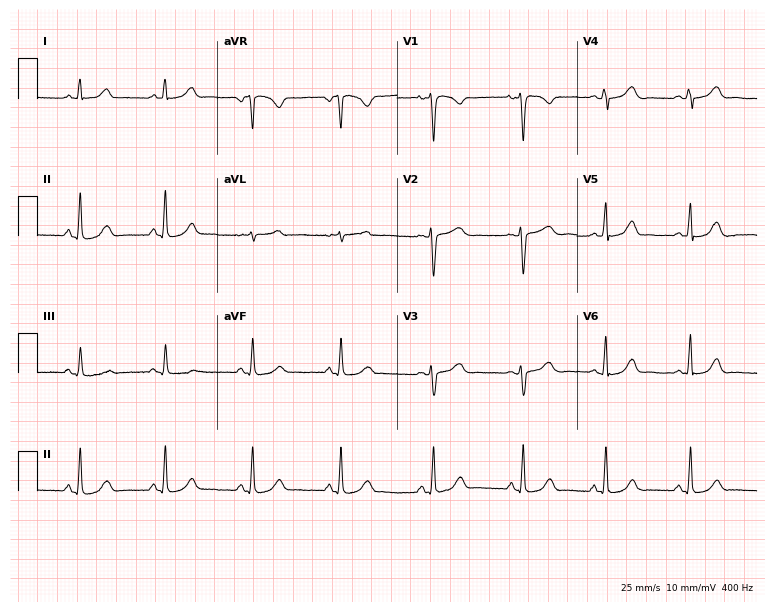
Electrocardiogram (7.3-second recording at 400 Hz), a female, 41 years old. Overall reading on record: normal ECG.